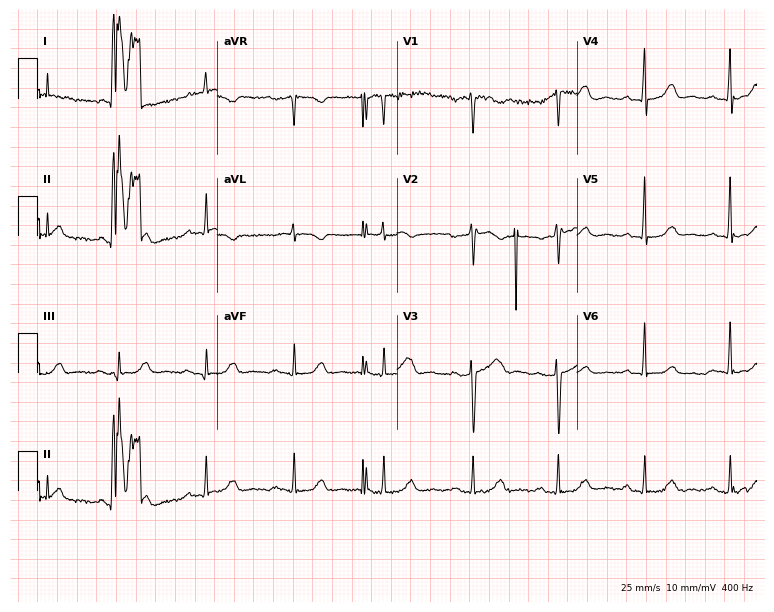
12-lead ECG from a 78-year-old male patient. Recorded interpretation: within normal limits.